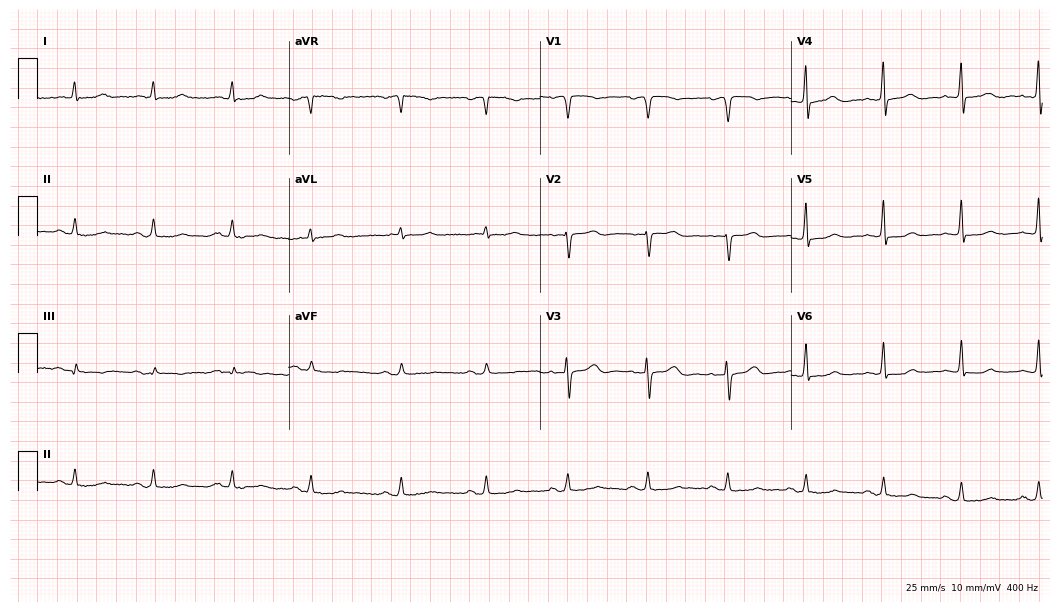
Standard 12-lead ECG recorded from a woman, 68 years old. Read as a normal ECG.